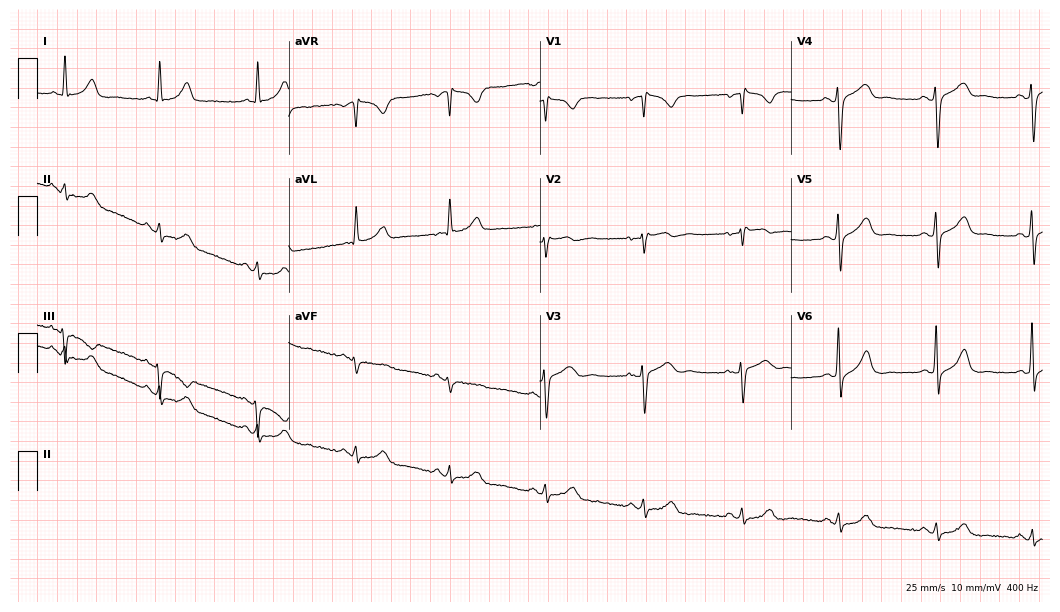
Resting 12-lead electrocardiogram (10.2-second recording at 400 Hz). Patient: a 55-year-old man. Read as a normal ECG.